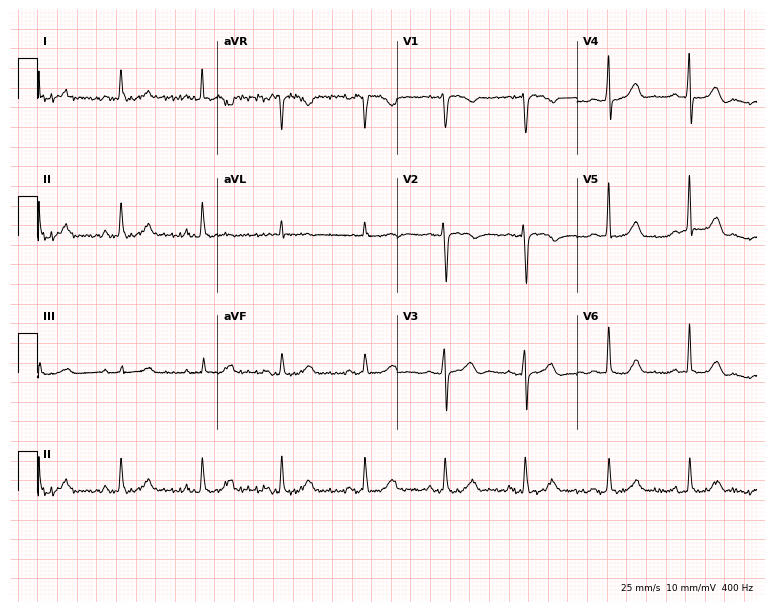
Resting 12-lead electrocardiogram. Patient: a male, 50 years old. Read as a normal ECG.